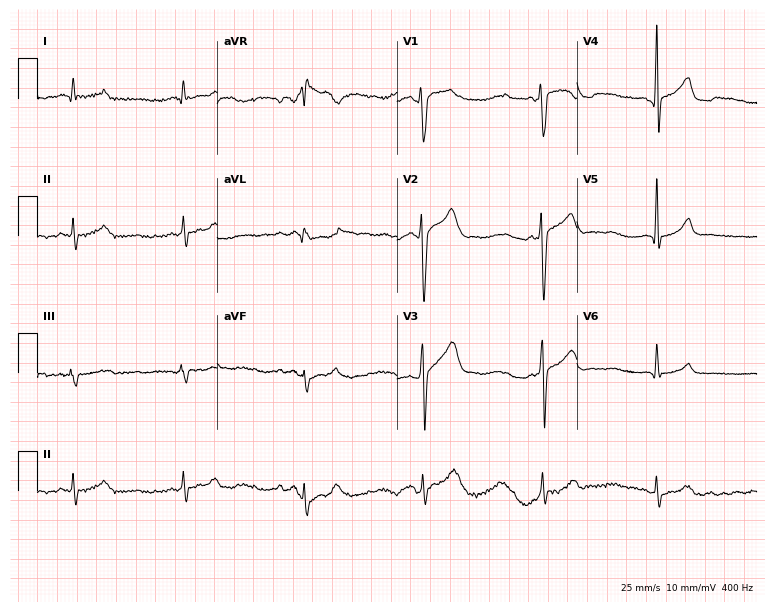
Resting 12-lead electrocardiogram (7.3-second recording at 400 Hz). Patient: a male, 23 years old. None of these six findings is recorded: first-degree AV block, right bundle branch block, left bundle branch block, sinus bradycardia, atrial fibrillation, sinus tachycardia. Only these six findings were labelled.